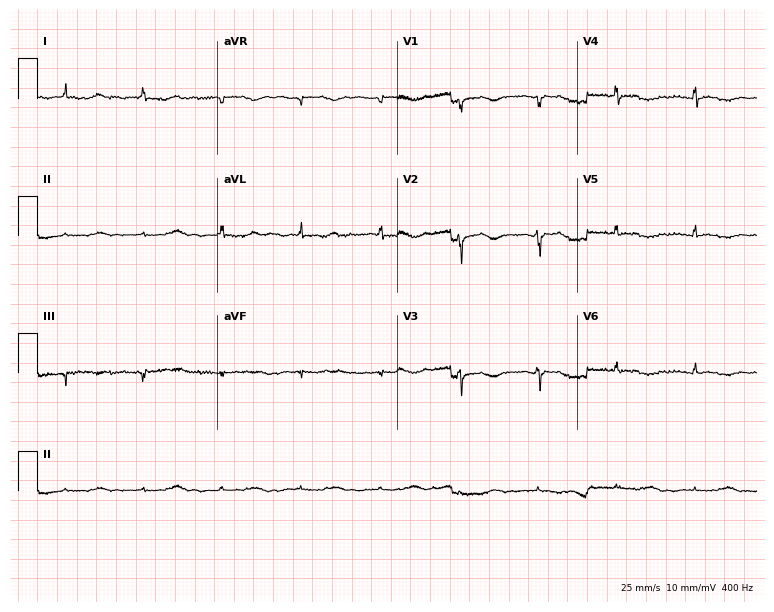
Standard 12-lead ECG recorded from a man, 33 years old. None of these six findings is recorded: first-degree AV block, right bundle branch block, left bundle branch block, sinus bradycardia, atrial fibrillation, sinus tachycardia. Findings outside these six are not listed.